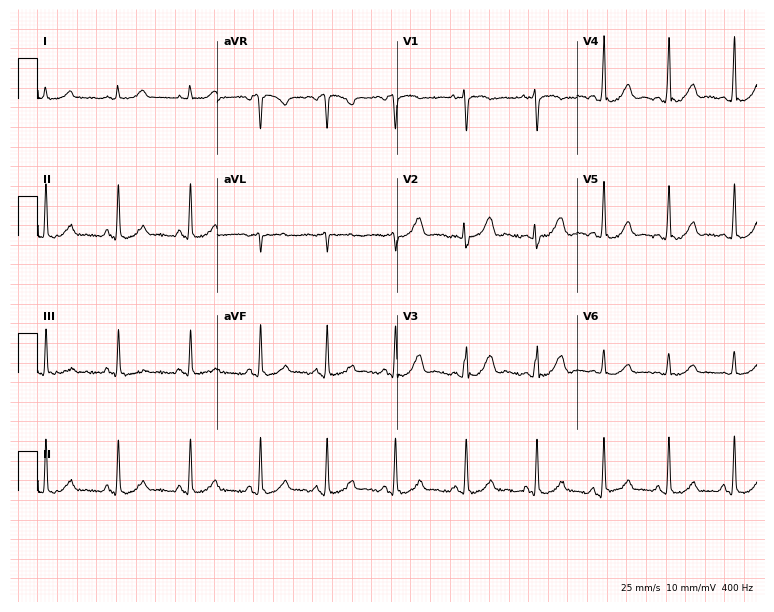
Resting 12-lead electrocardiogram (7.3-second recording at 400 Hz). Patient: a woman, 31 years old. Read as a normal ECG.